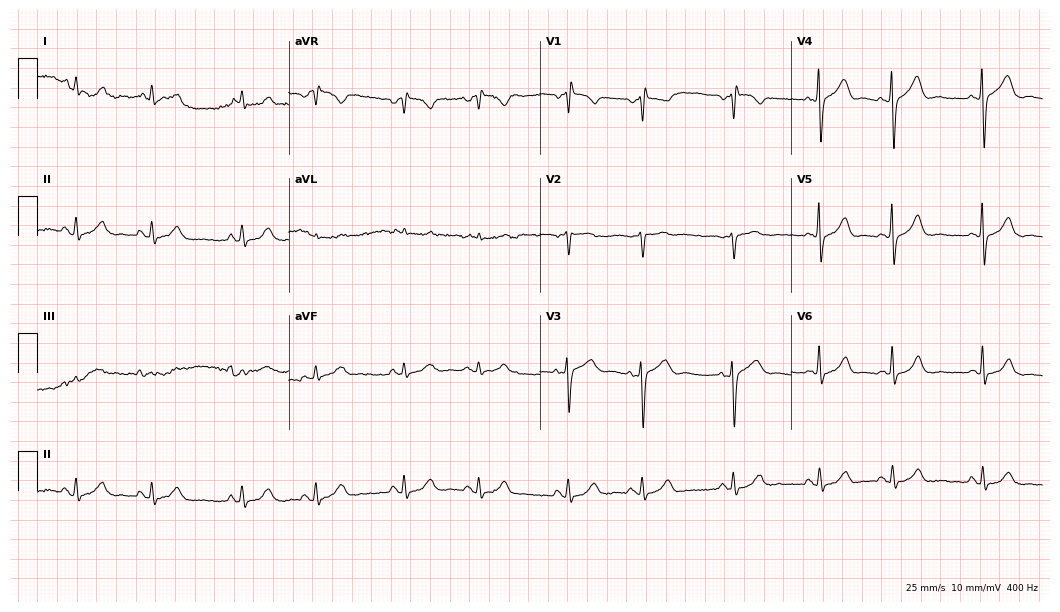
Electrocardiogram, a 65-year-old male. Overall reading on record: normal ECG.